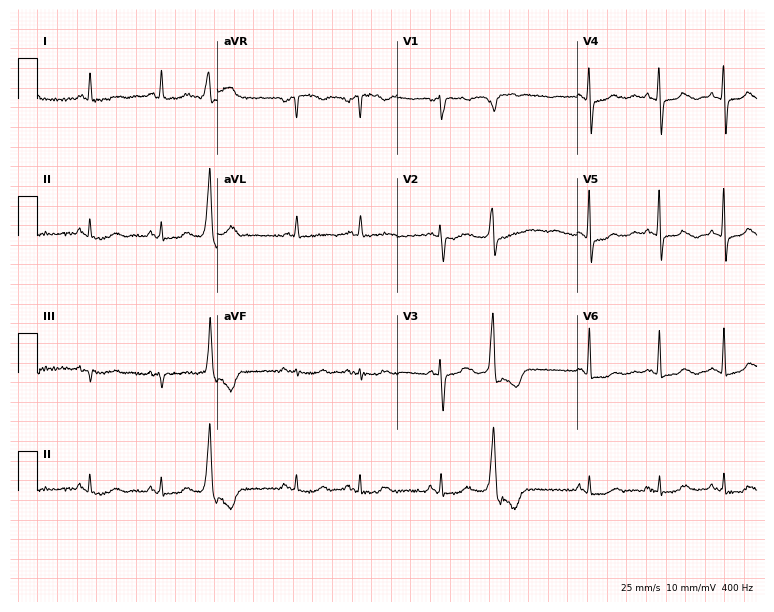
Resting 12-lead electrocardiogram. Patient: a 77-year-old female. None of these six findings is recorded: first-degree AV block, right bundle branch block, left bundle branch block, sinus bradycardia, atrial fibrillation, sinus tachycardia. Only these six findings were labelled.